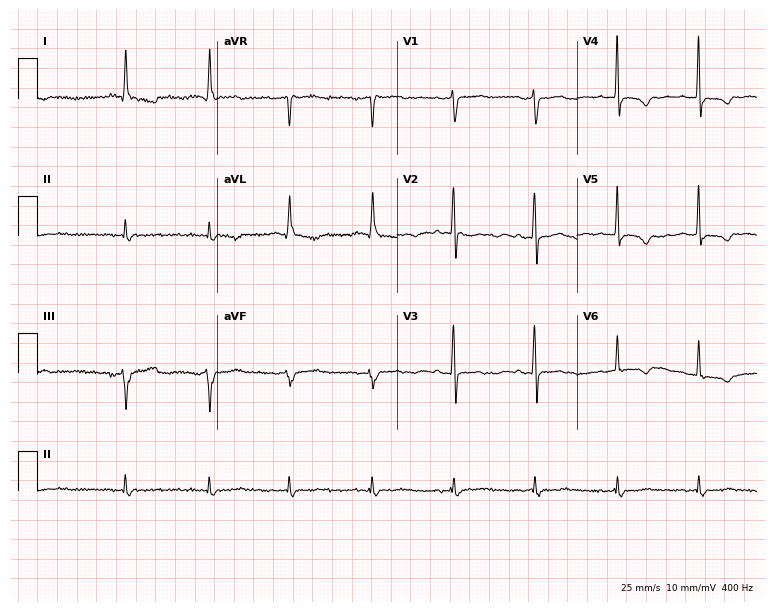
Electrocardiogram, a 66-year-old woman. Of the six screened findings (first-degree AV block, right bundle branch block, left bundle branch block, sinus bradycardia, atrial fibrillation, sinus tachycardia), none is recorded.